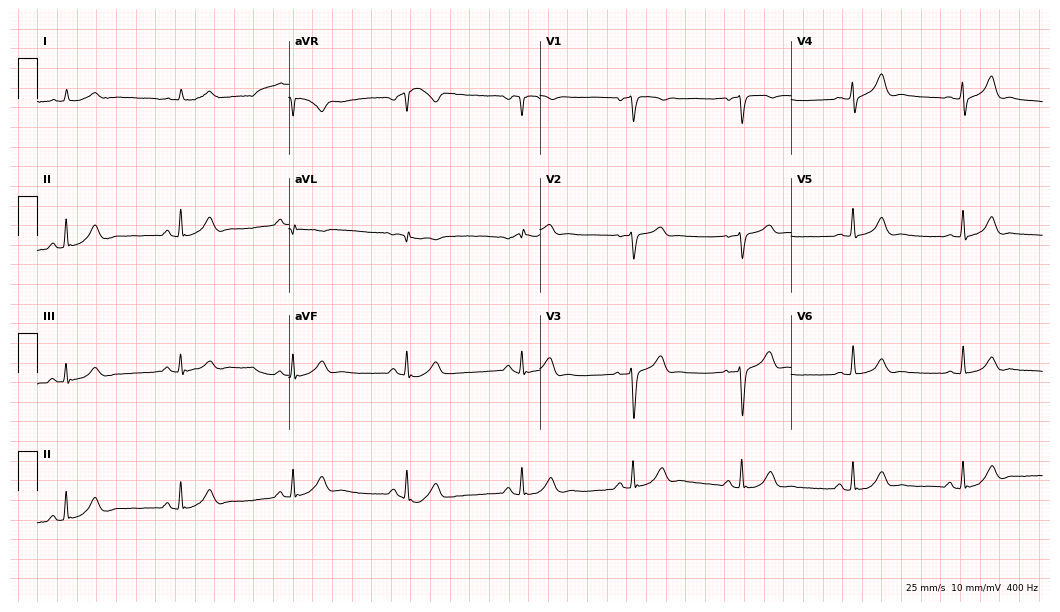
12-lead ECG from a 59-year-old male patient. Labelled as a normal ECG.